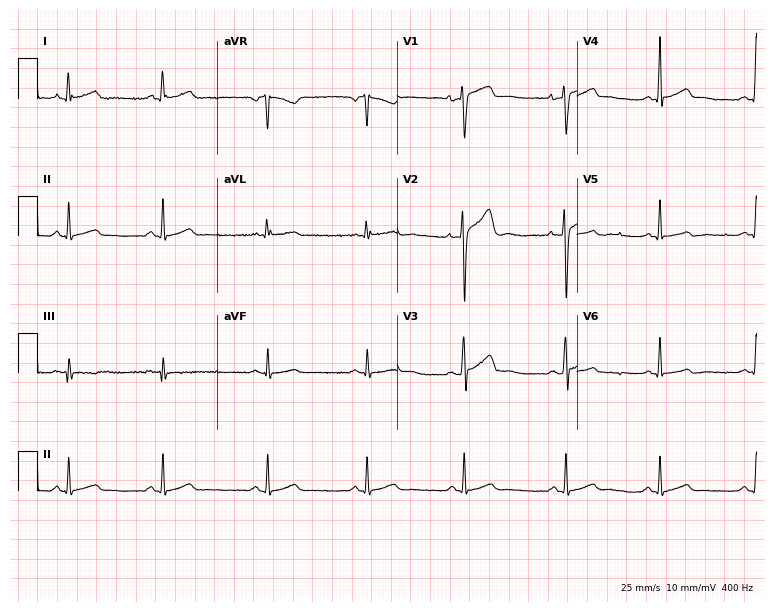
12-lead ECG from a male, 20 years old (7.3-second recording at 400 Hz). Recorded interpretation: within normal limits.